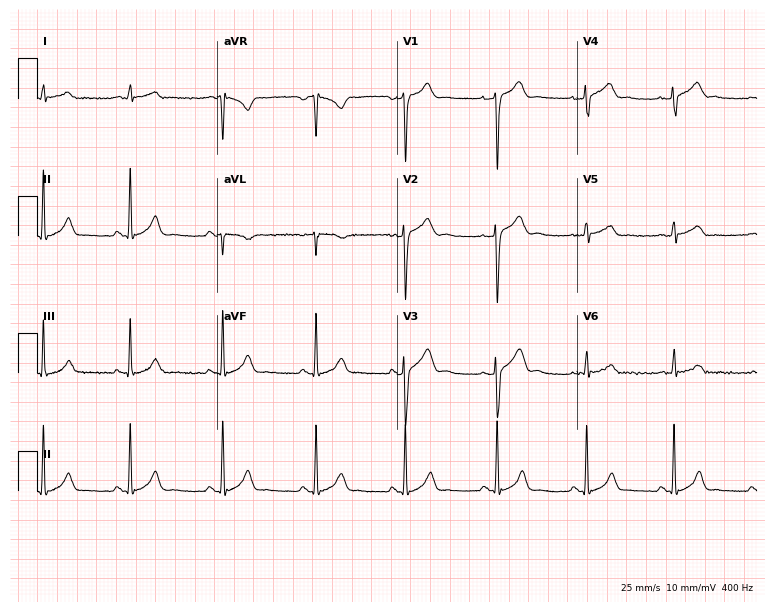
12-lead ECG from a male patient, 21 years old. No first-degree AV block, right bundle branch block (RBBB), left bundle branch block (LBBB), sinus bradycardia, atrial fibrillation (AF) or sinus tachycardia recorded for this tracing. Only these six findings were labelled.